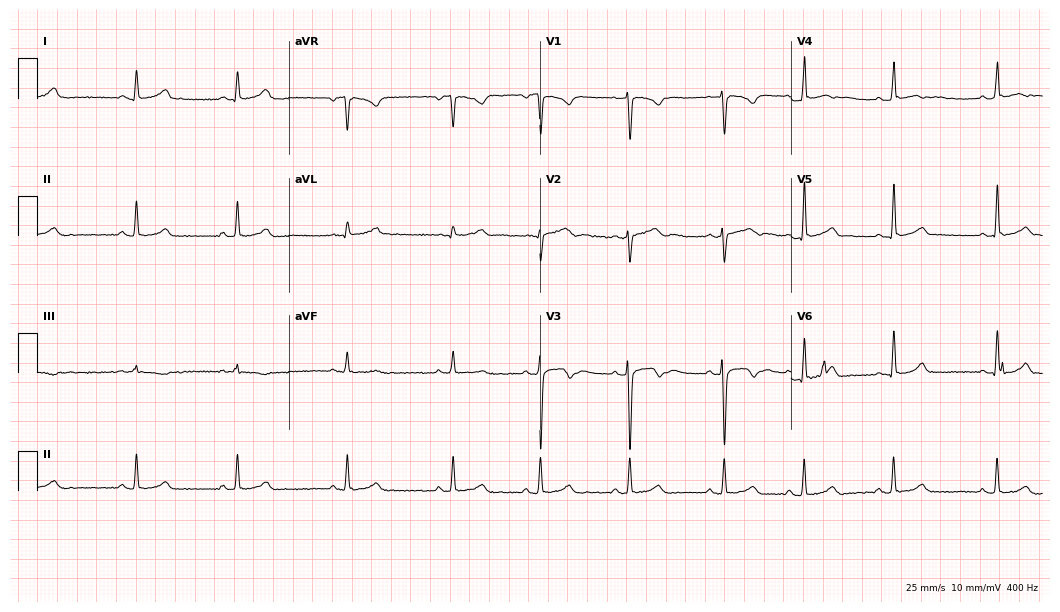
12-lead ECG from a 27-year-old female (10.2-second recording at 400 Hz). No first-degree AV block, right bundle branch block (RBBB), left bundle branch block (LBBB), sinus bradycardia, atrial fibrillation (AF) or sinus tachycardia recorded for this tracing.